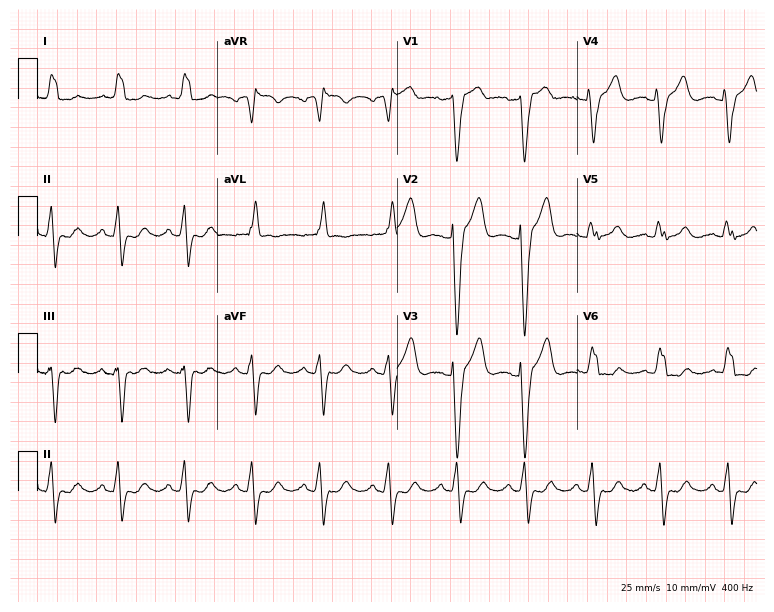
Electrocardiogram, a female, 57 years old. Interpretation includes left bundle branch block.